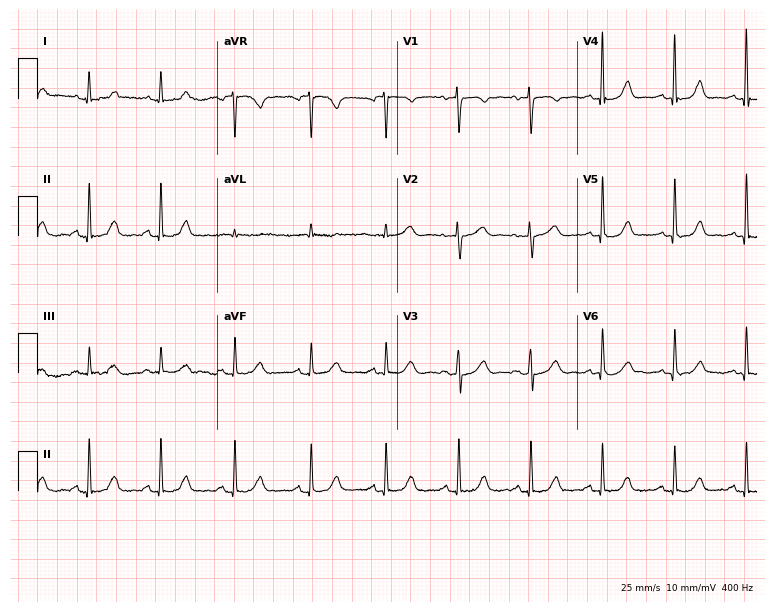
Standard 12-lead ECG recorded from a female patient, 61 years old. Read as a normal ECG.